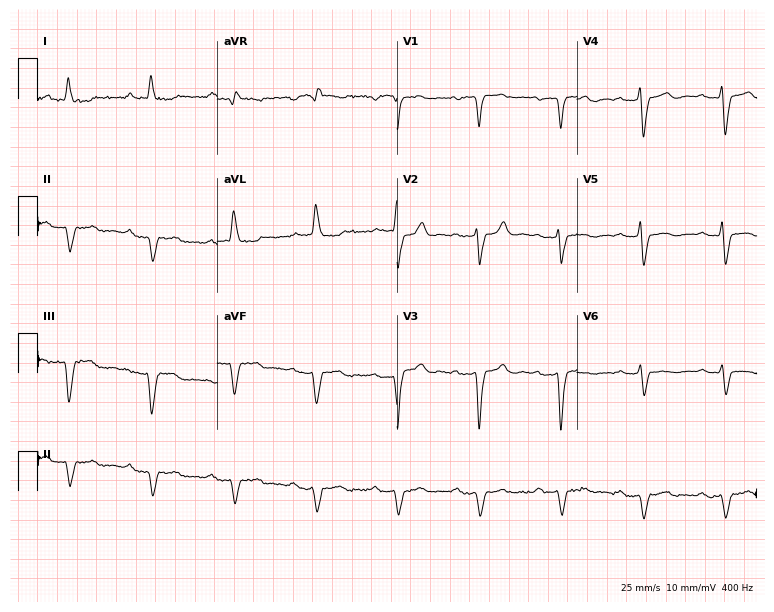
ECG — a man, 79 years old. Screened for six findings — first-degree AV block, right bundle branch block (RBBB), left bundle branch block (LBBB), sinus bradycardia, atrial fibrillation (AF), sinus tachycardia — none is recorded.